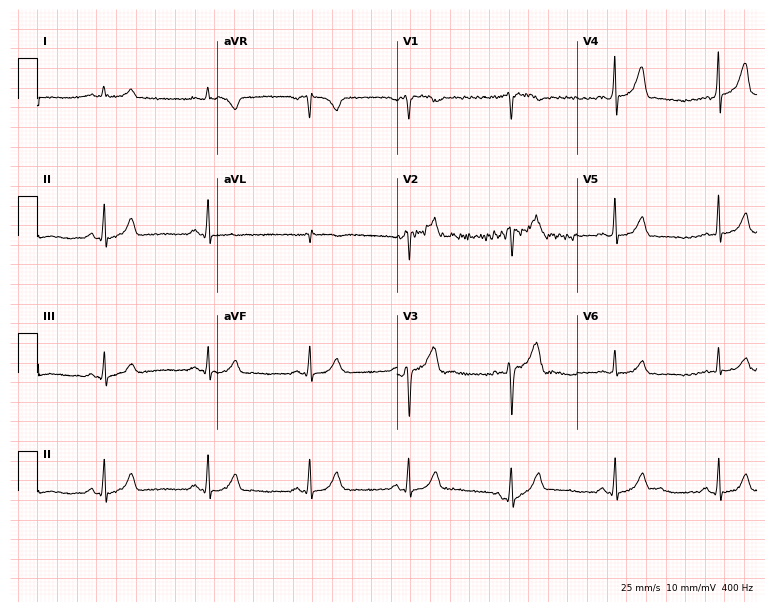
12-lead ECG from a male patient, 51 years old. Recorded interpretation: within normal limits.